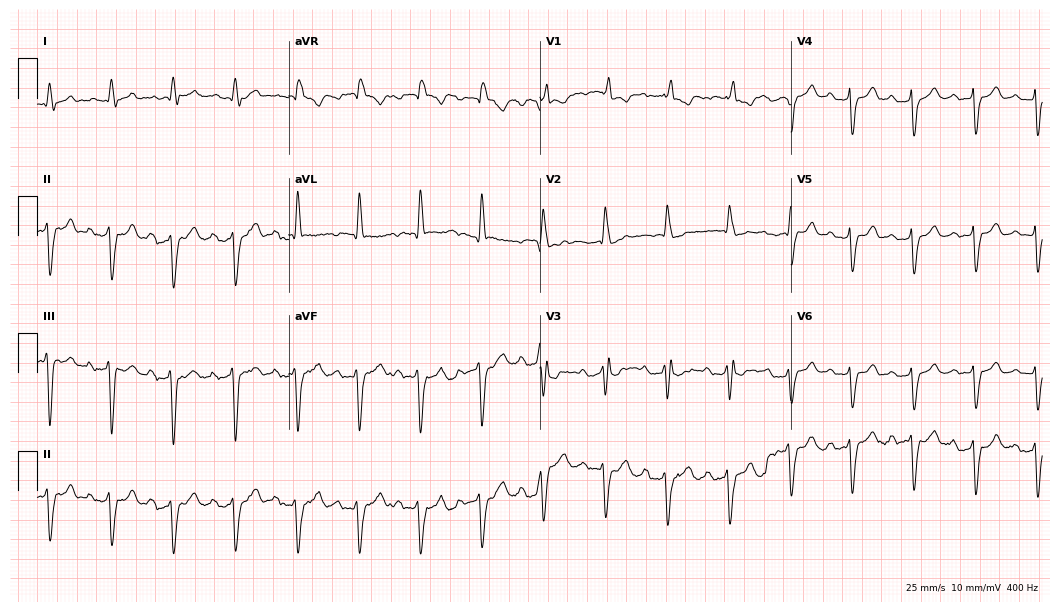
Resting 12-lead electrocardiogram (10.2-second recording at 400 Hz). Patient: a female, 82 years old. None of these six findings is recorded: first-degree AV block, right bundle branch block, left bundle branch block, sinus bradycardia, atrial fibrillation, sinus tachycardia. Other findings, if any, are not listed.